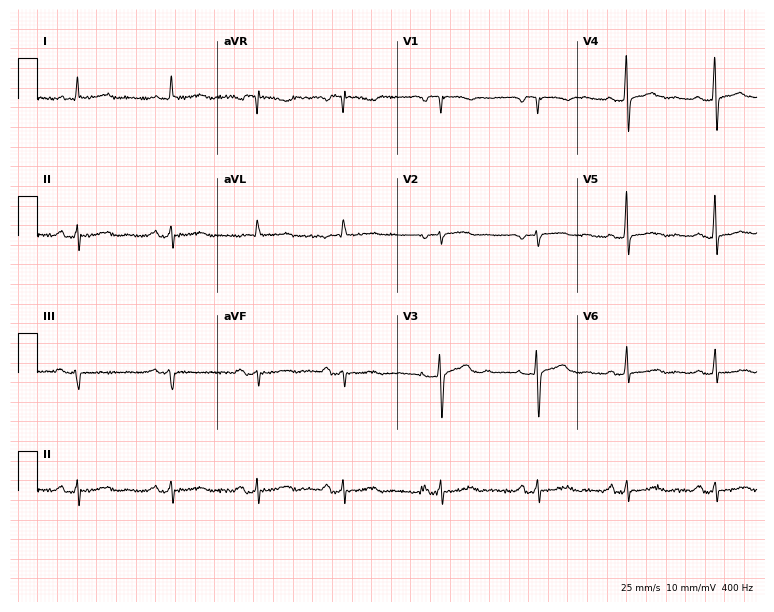
Electrocardiogram, a female, 57 years old. Of the six screened findings (first-degree AV block, right bundle branch block, left bundle branch block, sinus bradycardia, atrial fibrillation, sinus tachycardia), none is recorded.